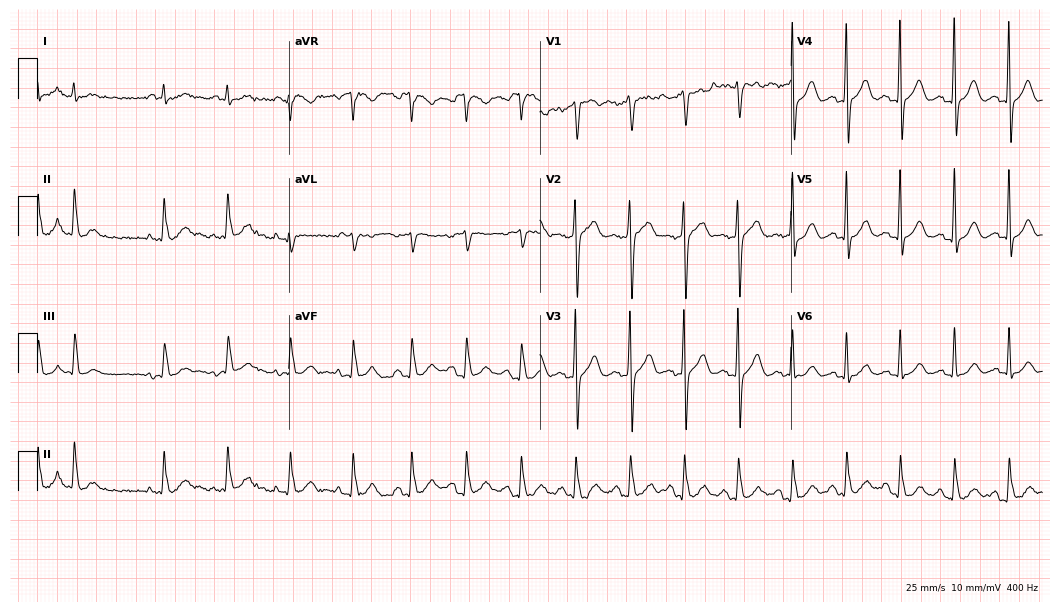
Resting 12-lead electrocardiogram. Patient: an 84-year-old man. None of these six findings is recorded: first-degree AV block, right bundle branch block, left bundle branch block, sinus bradycardia, atrial fibrillation, sinus tachycardia. Other findings, if any, are not listed.